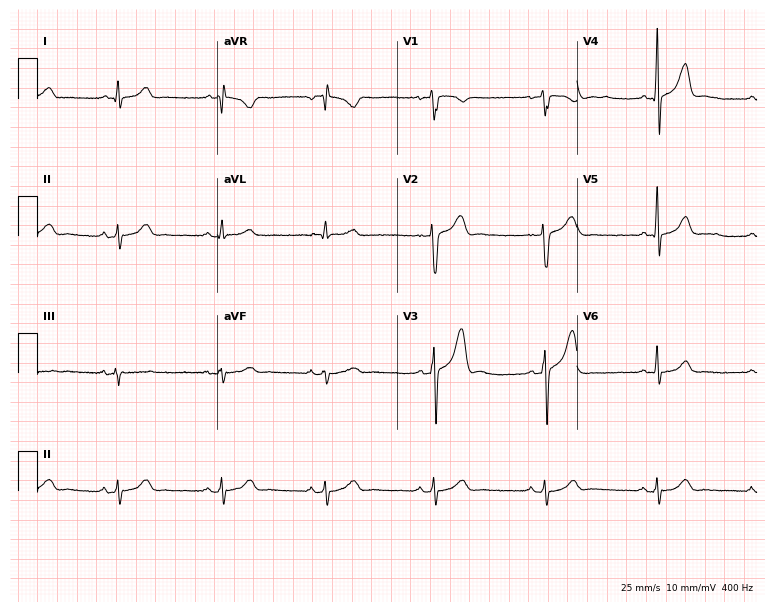
ECG — a 29-year-old male patient. Screened for six findings — first-degree AV block, right bundle branch block, left bundle branch block, sinus bradycardia, atrial fibrillation, sinus tachycardia — none is recorded. Other findings, if any, are not listed.